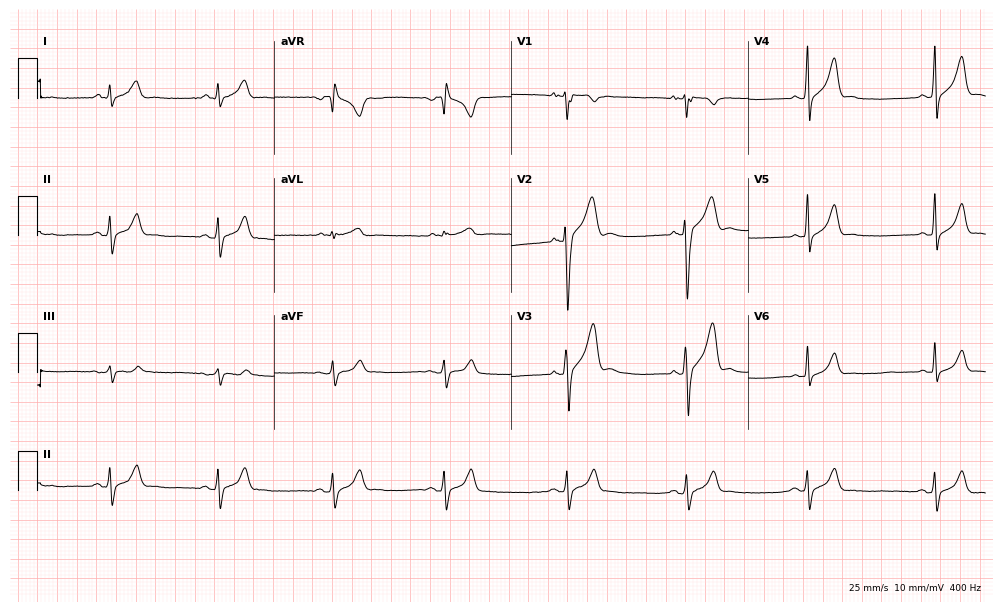
Resting 12-lead electrocardiogram. Patient: a 28-year-old male. None of these six findings is recorded: first-degree AV block, right bundle branch block, left bundle branch block, sinus bradycardia, atrial fibrillation, sinus tachycardia.